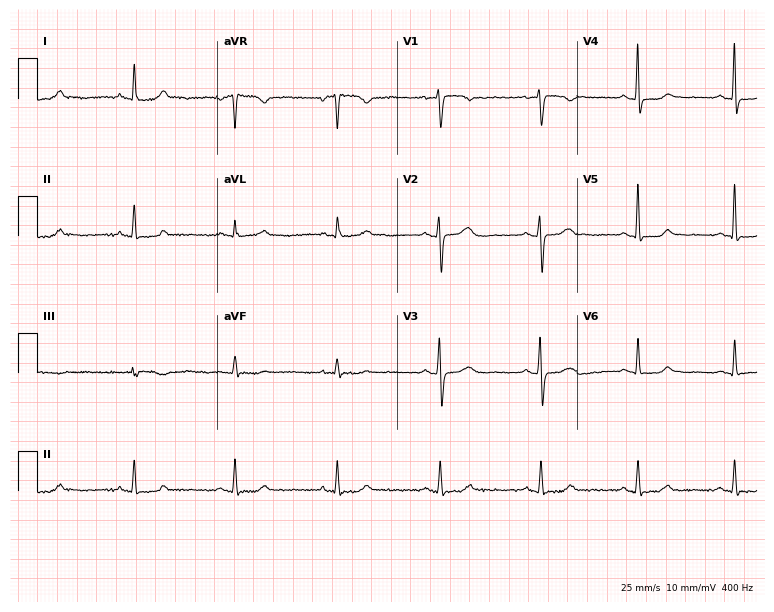
Resting 12-lead electrocardiogram (7.3-second recording at 400 Hz). Patient: a 52-year-old woman. Read as a normal ECG.